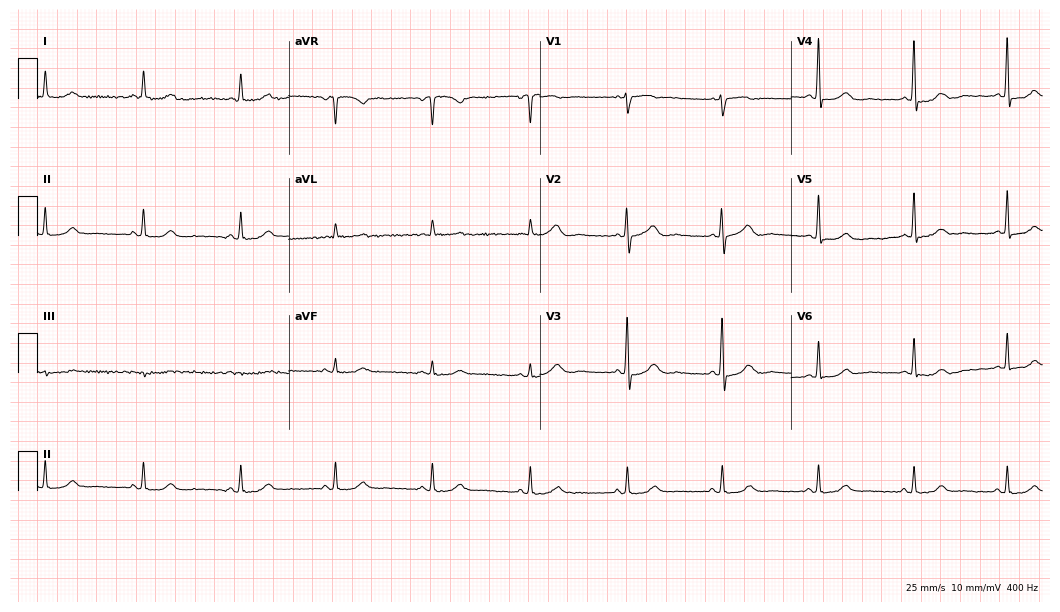
Resting 12-lead electrocardiogram (10.2-second recording at 400 Hz). Patient: a female, 64 years old. Read as a normal ECG.